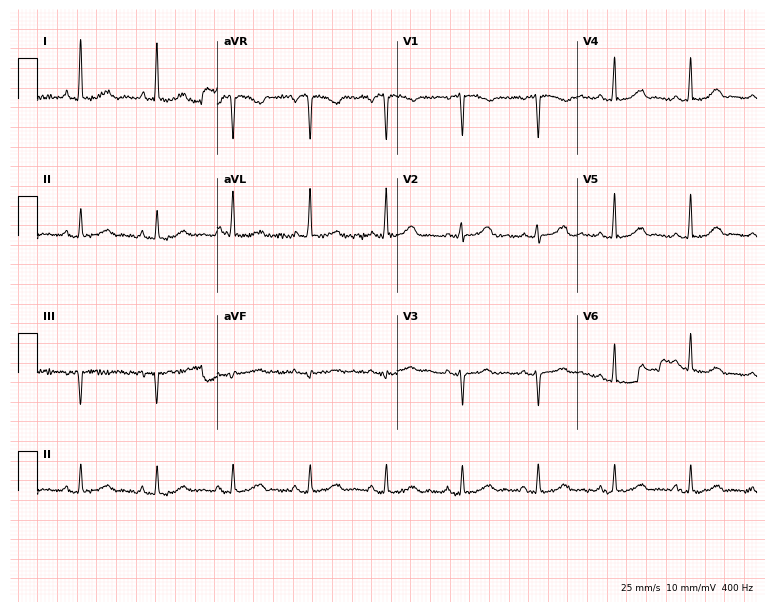
12-lead ECG from a 71-year-old female. No first-degree AV block, right bundle branch block, left bundle branch block, sinus bradycardia, atrial fibrillation or sinus tachycardia recorded for this tracing. Findings outside these six are not listed.